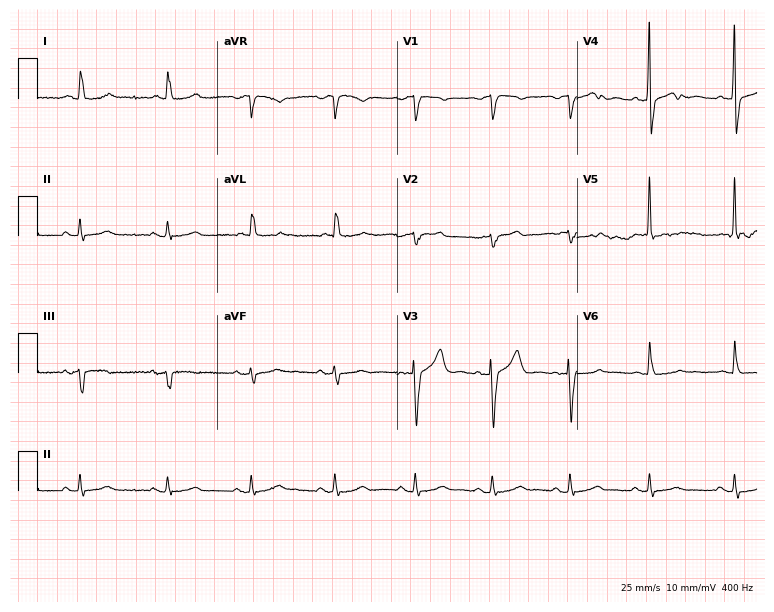
Standard 12-lead ECG recorded from a woman, 57 years old. None of these six findings is recorded: first-degree AV block, right bundle branch block, left bundle branch block, sinus bradycardia, atrial fibrillation, sinus tachycardia. Only these six findings were labelled.